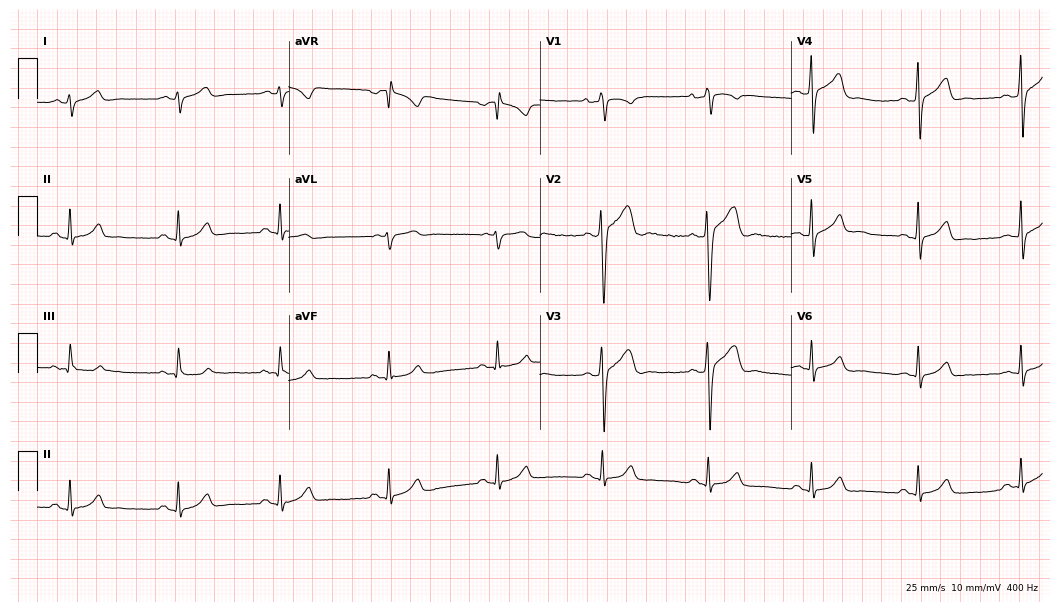
Resting 12-lead electrocardiogram. Patient: a 26-year-old male. None of these six findings is recorded: first-degree AV block, right bundle branch block, left bundle branch block, sinus bradycardia, atrial fibrillation, sinus tachycardia. Only these six findings were labelled.